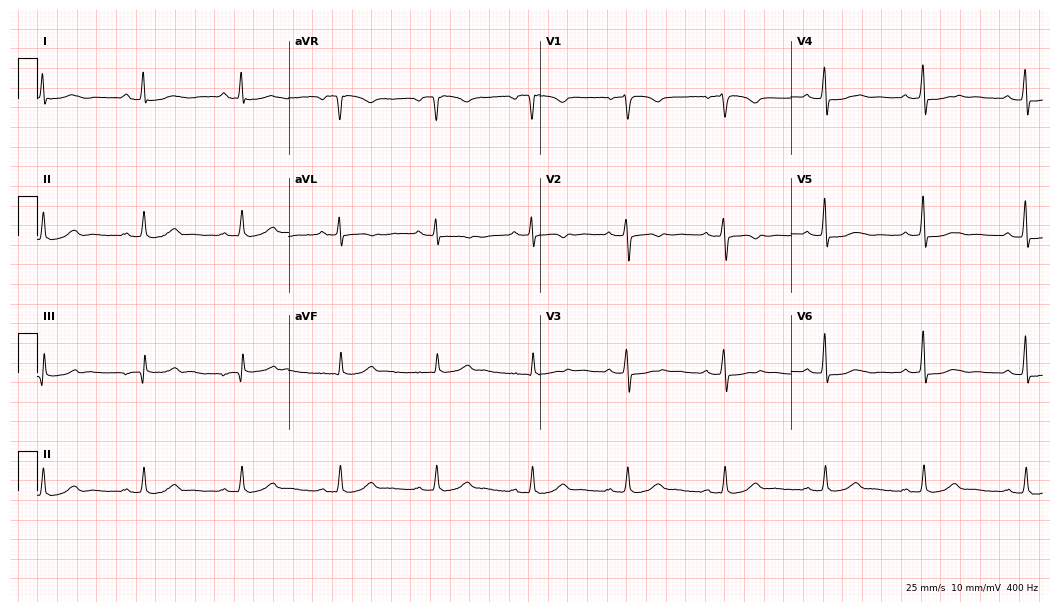
Electrocardiogram, a 53-year-old female. Of the six screened findings (first-degree AV block, right bundle branch block, left bundle branch block, sinus bradycardia, atrial fibrillation, sinus tachycardia), none is recorded. Other findings, if any, are not listed.